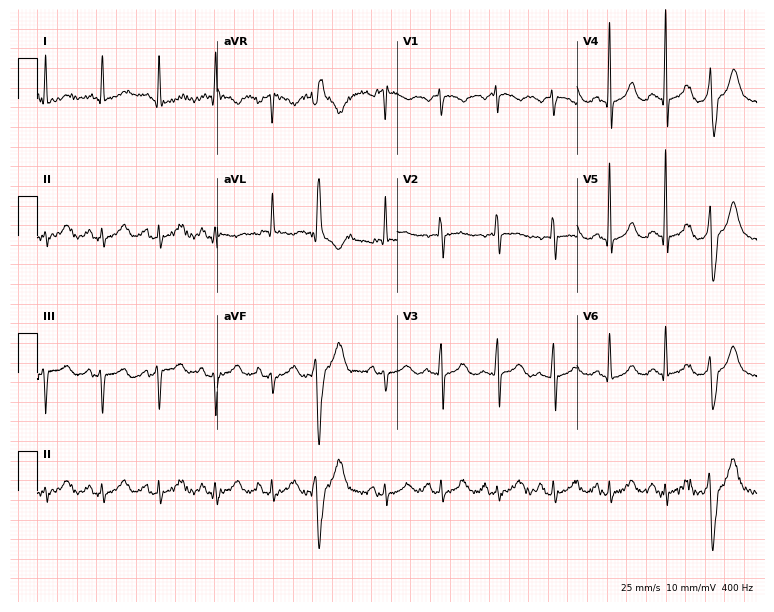
ECG — an 80-year-old female. Screened for six findings — first-degree AV block, right bundle branch block (RBBB), left bundle branch block (LBBB), sinus bradycardia, atrial fibrillation (AF), sinus tachycardia — none is recorded. Other findings, if any, are not listed.